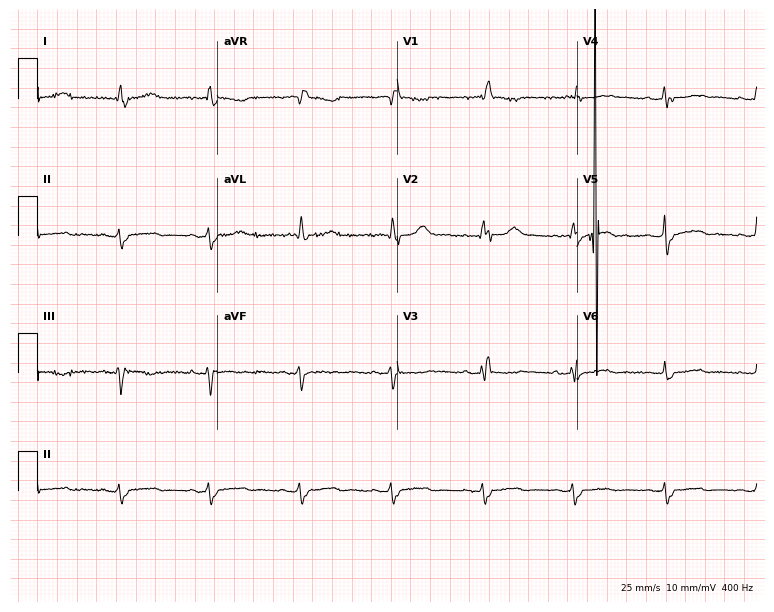
ECG (7.3-second recording at 400 Hz) — a 65-year-old female patient. Screened for six findings — first-degree AV block, right bundle branch block (RBBB), left bundle branch block (LBBB), sinus bradycardia, atrial fibrillation (AF), sinus tachycardia — none is recorded. Findings outside these six are not listed.